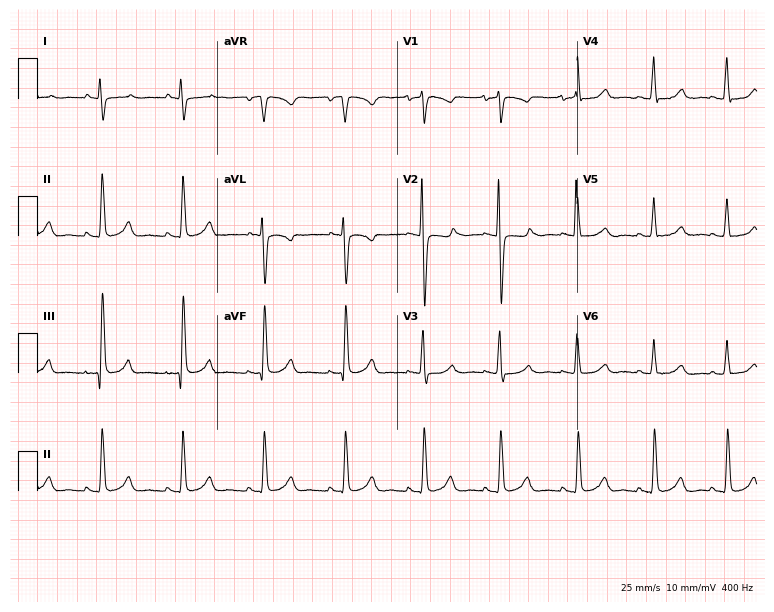
Resting 12-lead electrocardiogram (7.3-second recording at 400 Hz). Patient: a 20-year-old female. Read as a normal ECG.